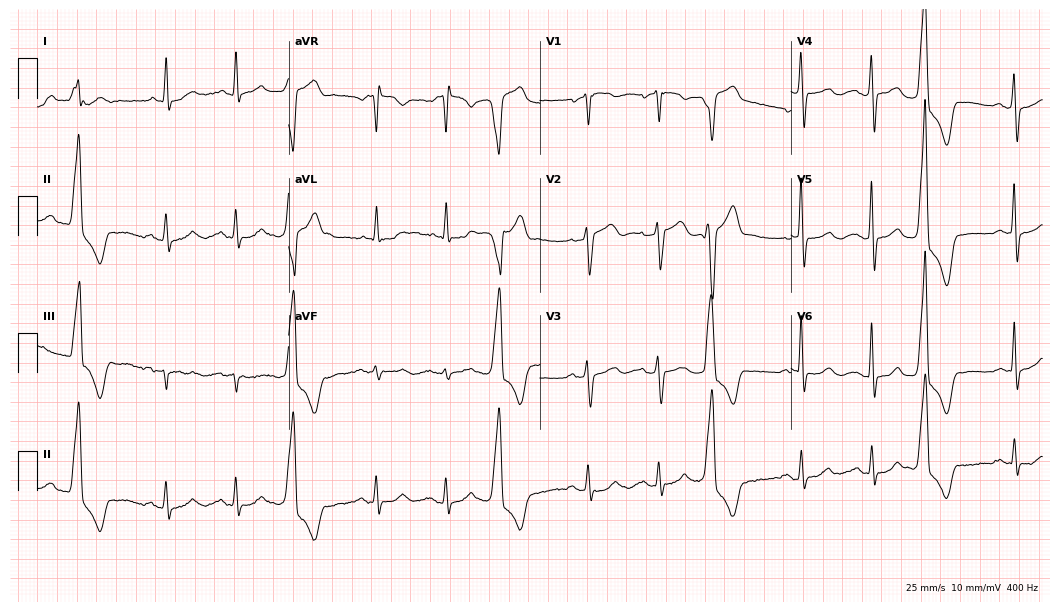
12-lead ECG (10.2-second recording at 400 Hz) from a 79-year-old man. Screened for six findings — first-degree AV block, right bundle branch block, left bundle branch block, sinus bradycardia, atrial fibrillation, sinus tachycardia — none is recorded. Only these six findings were labelled.